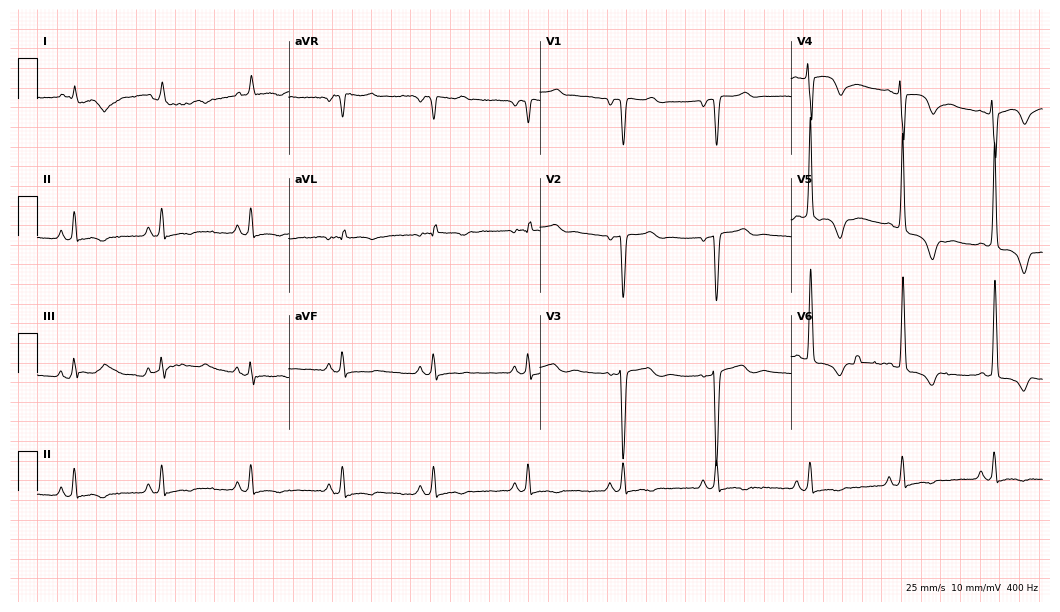
12-lead ECG from a male patient, 71 years old. No first-degree AV block, right bundle branch block, left bundle branch block, sinus bradycardia, atrial fibrillation or sinus tachycardia recorded for this tracing. Other findings, if any, are not listed.